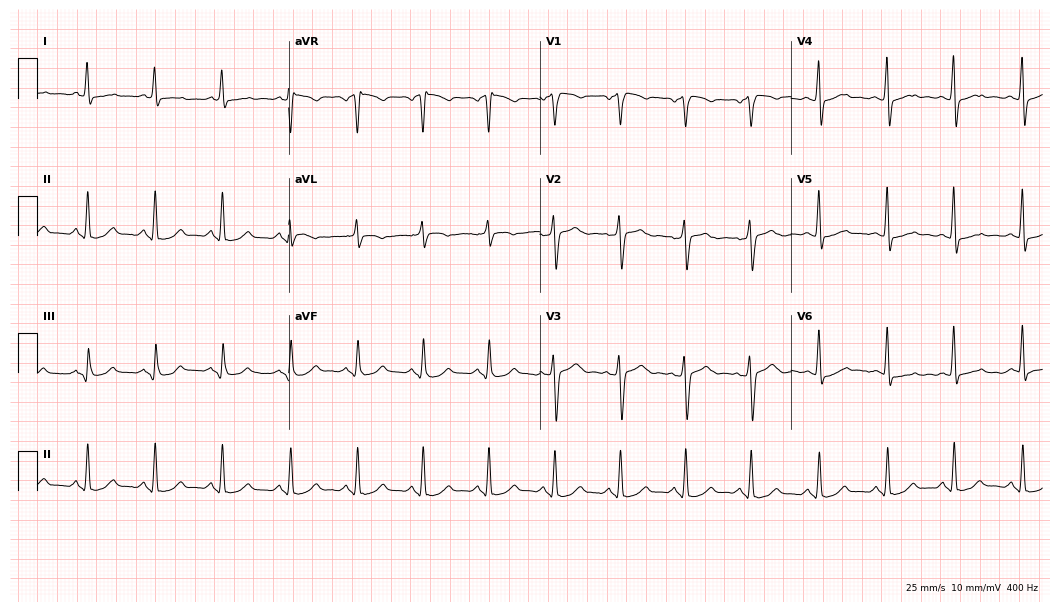
12-lead ECG from a female patient, 55 years old (10.2-second recording at 400 Hz). No first-degree AV block, right bundle branch block, left bundle branch block, sinus bradycardia, atrial fibrillation or sinus tachycardia recorded for this tracing. Other findings, if any, are not listed.